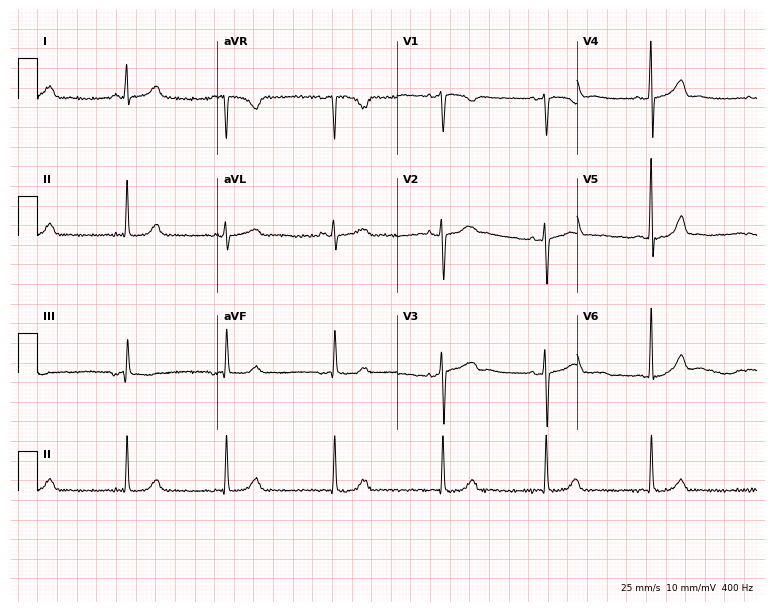
Resting 12-lead electrocardiogram (7.3-second recording at 400 Hz). Patient: a 45-year-old woman. Read as a normal ECG.